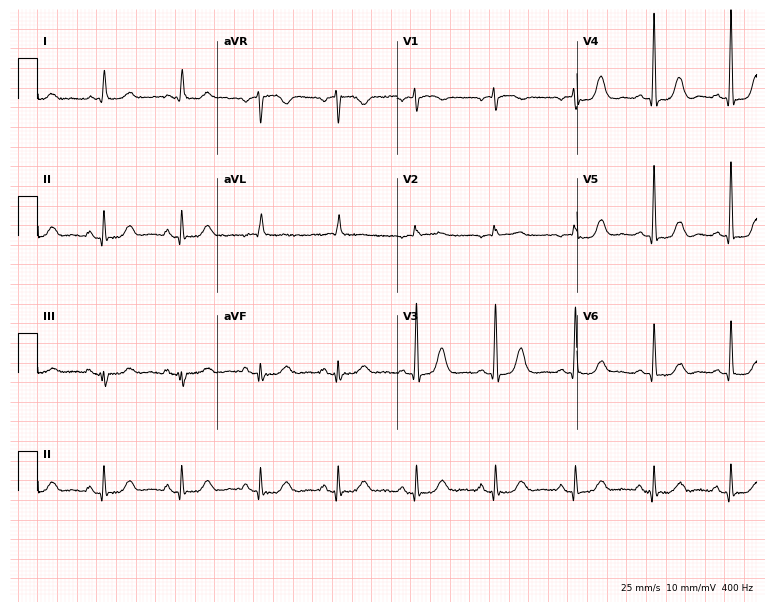
ECG (7.3-second recording at 400 Hz) — a 73-year-old female patient. Labelled as a normal ECG.